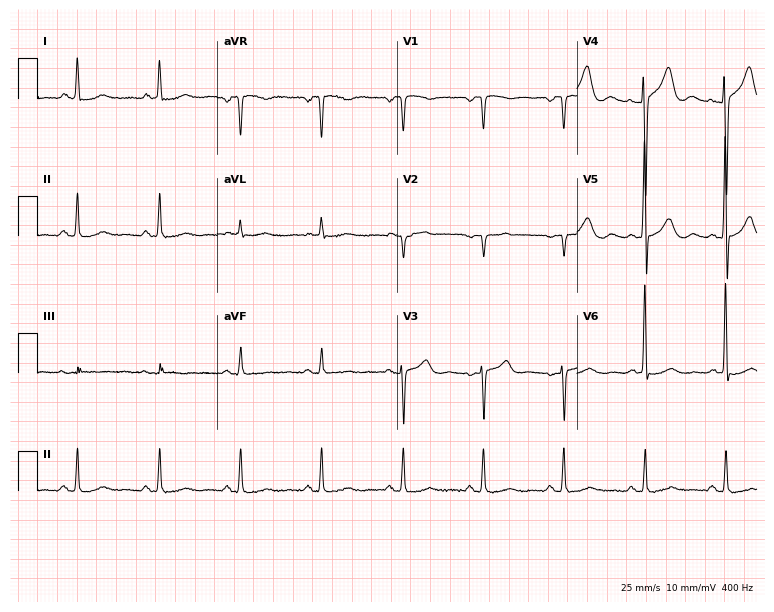
12-lead ECG from a female, 87 years old. Labelled as a normal ECG.